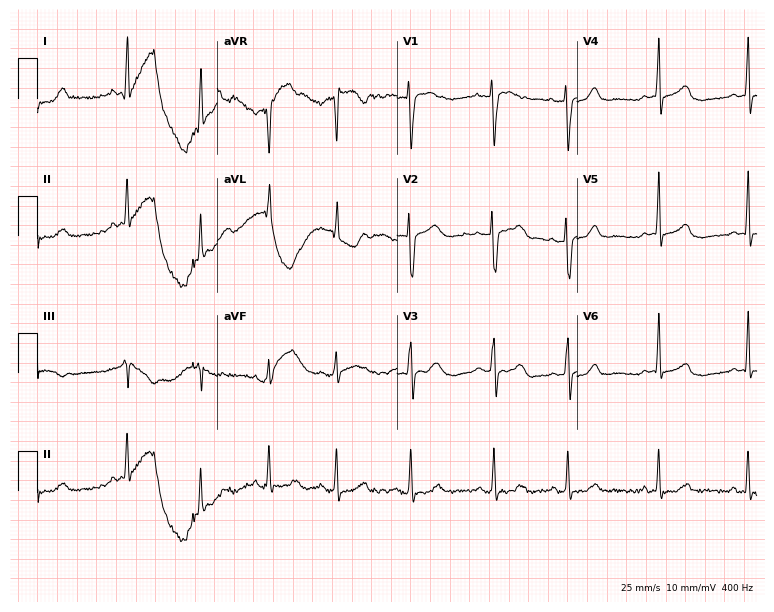
12-lead ECG from a 43-year-old female patient (7.3-second recording at 400 Hz). Recorded interpretation: within normal limits.